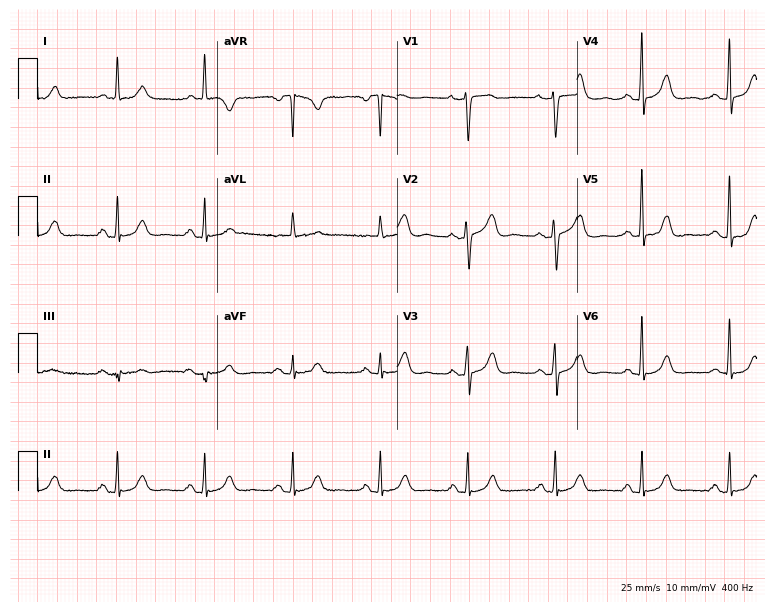
12-lead ECG from a female, 73 years old (7.3-second recording at 400 Hz). Recorded interpretation: within normal limits.